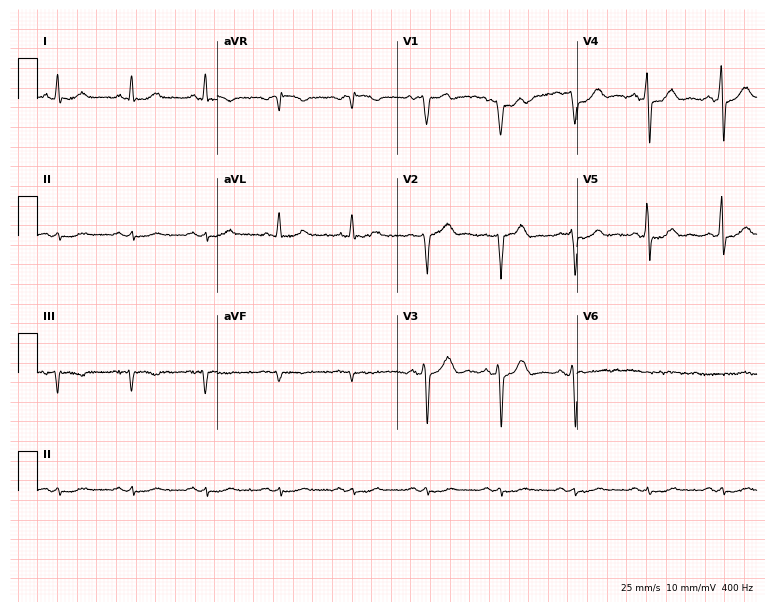
12-lead ECG from a 63-year-old male patient. No first-degree AV block, right bundle branch block, left bundle branch block, sinus bradycardia, atrial fibrillation or sinus tachycardia recorded for this tracing.